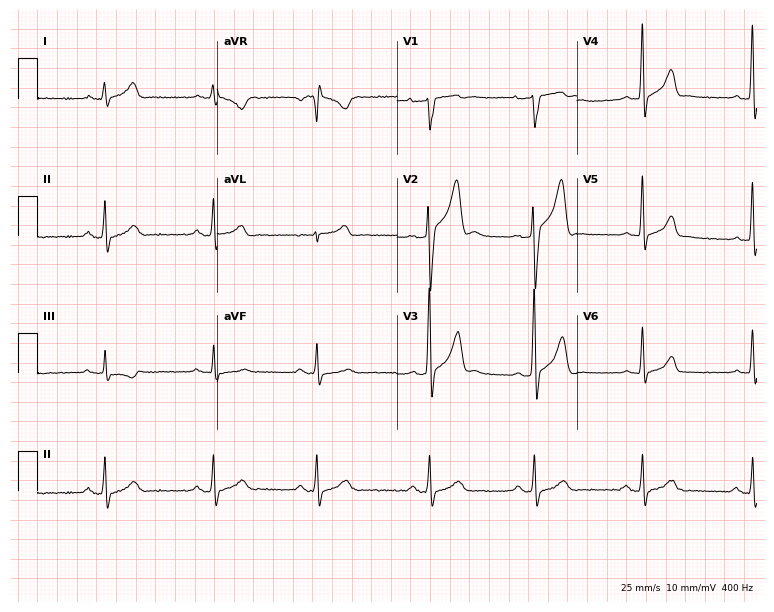
ECG (7.3-second recording at 400 Hz) — a man, 31 years old. Screened for six findings — first-degree AV block, right bundle branch block (RBBB), left bundle branch block (LBBB), sinus bradycardia, atrial fibrillation (AF), sinus tachycardia — none is recorded.